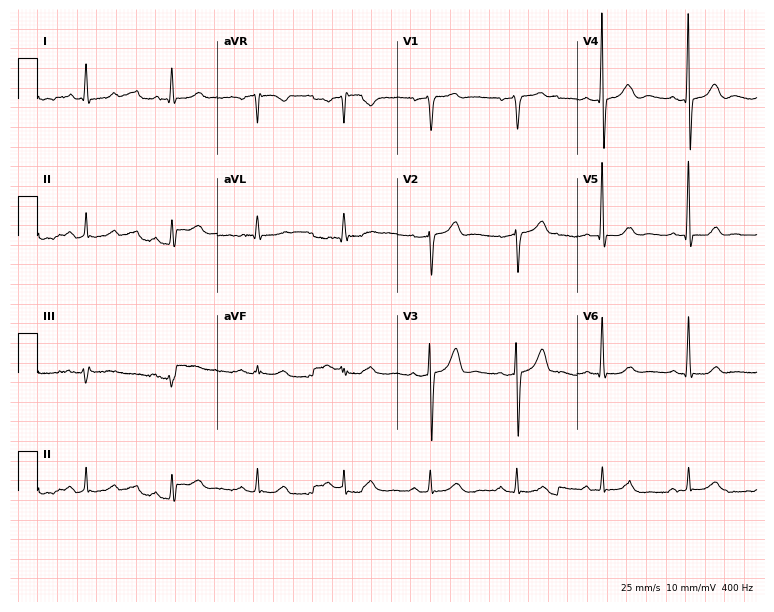
ECG — a male, 72 years old. Labelled as a normal ECG.